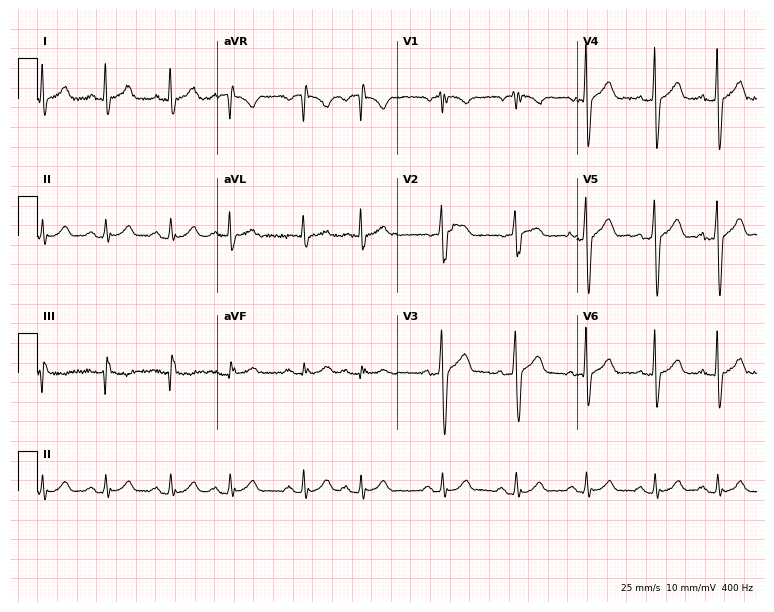
12-lead ECG from a male patient, 60 years old. Recorded interpretation: within normal limits.